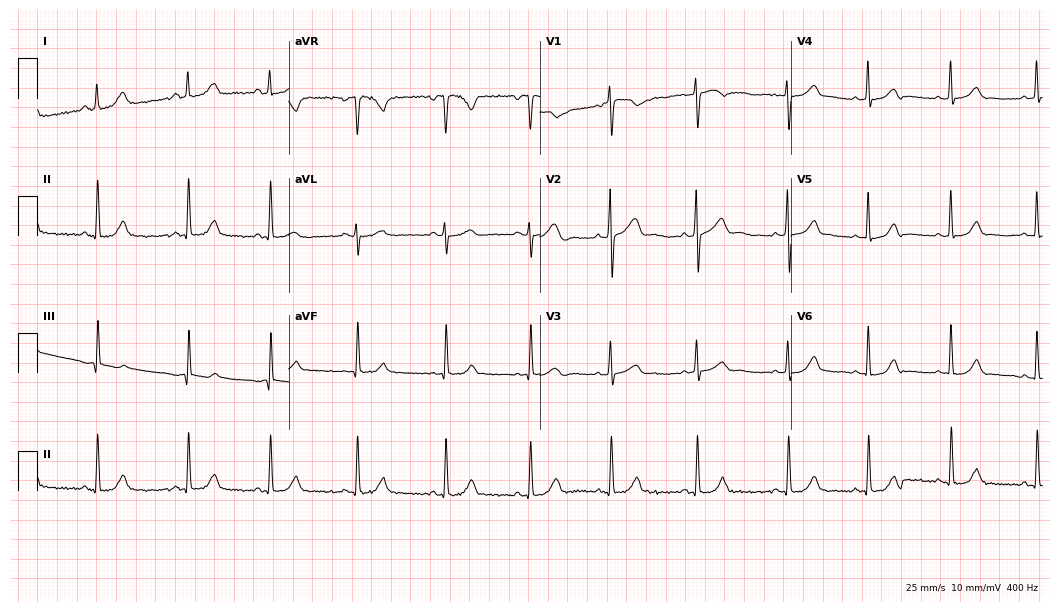
12-lead ECG (10.2-second recording at 400 Hz) from a woman, 28 years old. Labelled as a normal ECG.